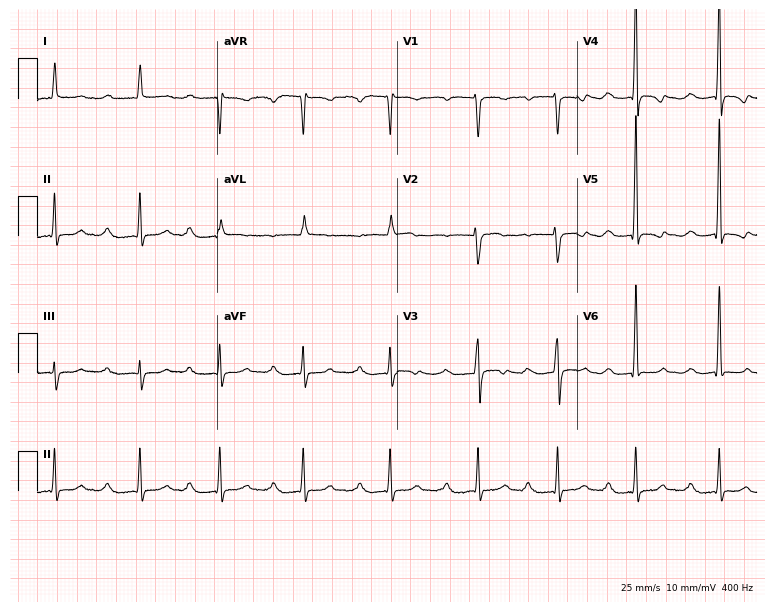
Standard 12-lead ECG recorded from a woman, 59 years old. None of these six findings is recorded: first-degree AV block, right bundle branch block, left bundle branch block, sinus bradycardia, atrial fibrillation, sinus tachycardia.